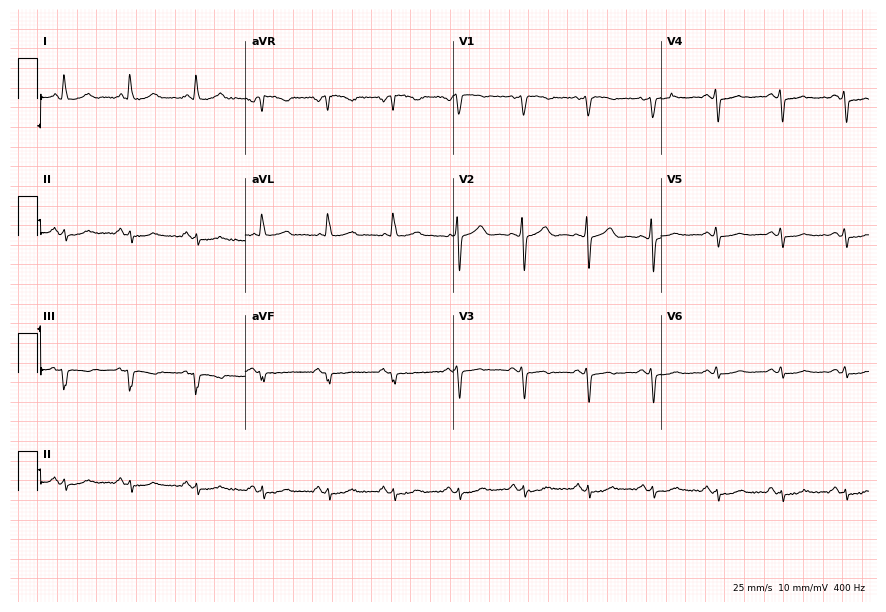
12-lead ECG from a 60-year-old female patient. No first-degree AV block, right bundle branch block (RBBB), left bundle branch block (LBBB), sinus bradycardia, atrial fibrillation (AF) or sinus tachycardia recorded for this tracing. Findings outside these six are not listed.